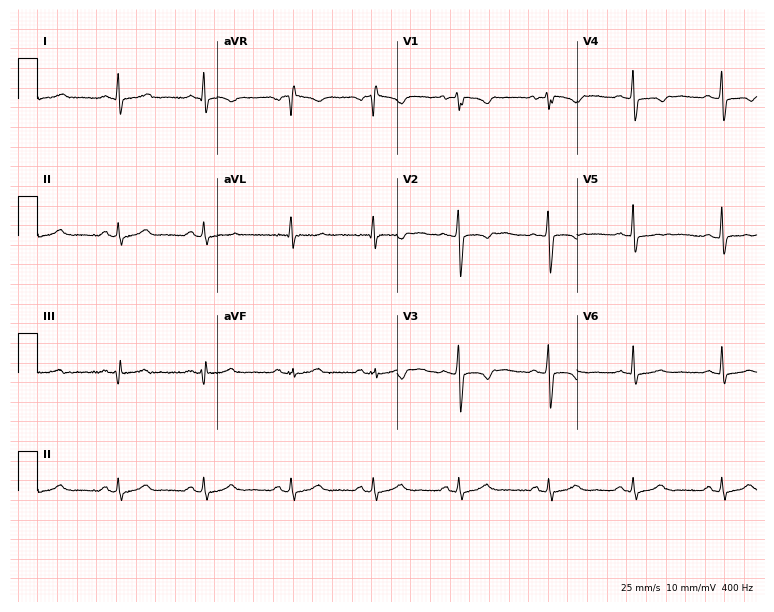
Electrocardiogram, a female, 32 years old. Of the six screened findings (first-degree AV block, right bundle branch block, left bundle branch block, sinus bradycardia, atrial fibrillation, sinus tachycardia), none is recorded.